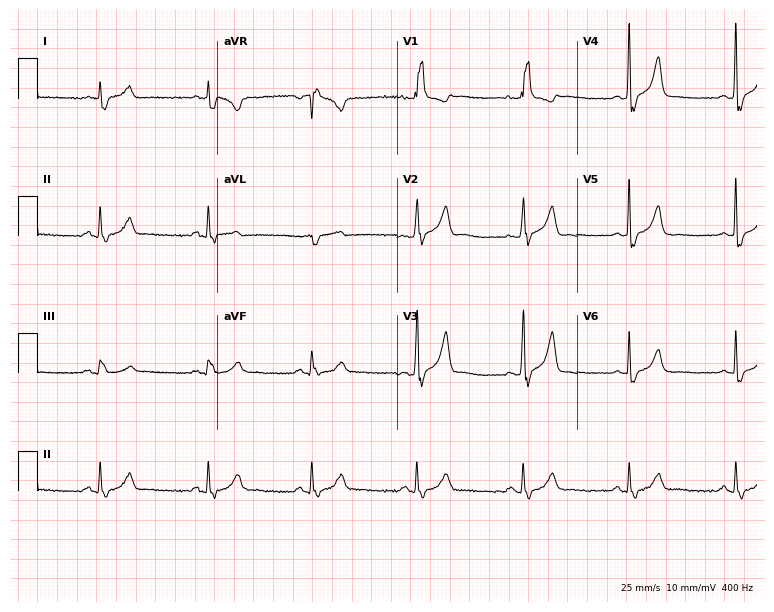
Resting 12-lead electrocardiogram. Patient: a male, 70 years old. The tracing shows right bundle branch block.